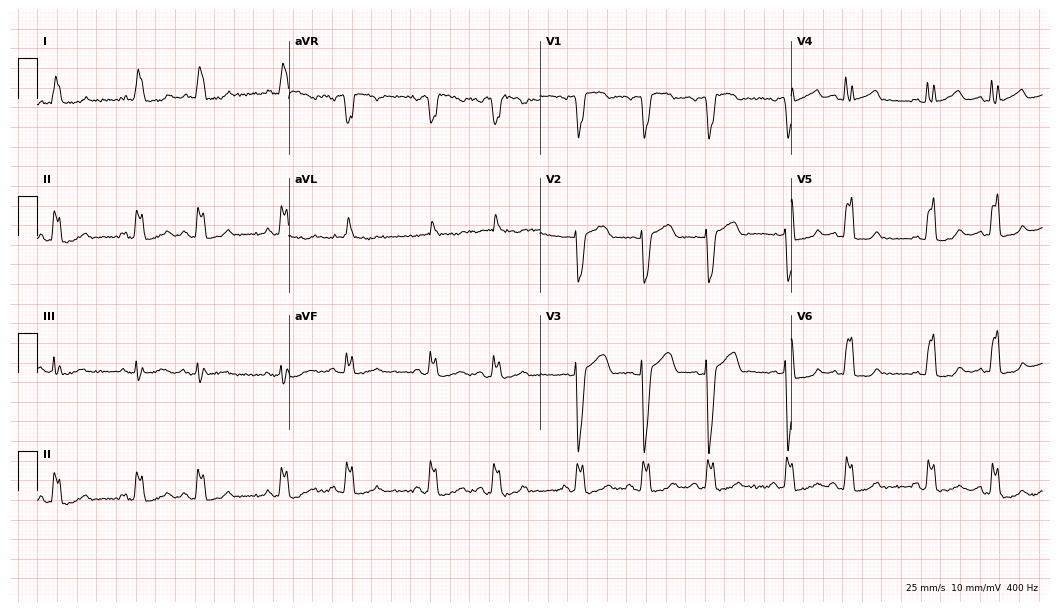
Resting 12-lead electrocardiogram. Patient: a 78-year-old male. The tracing shows left bundle branch block.